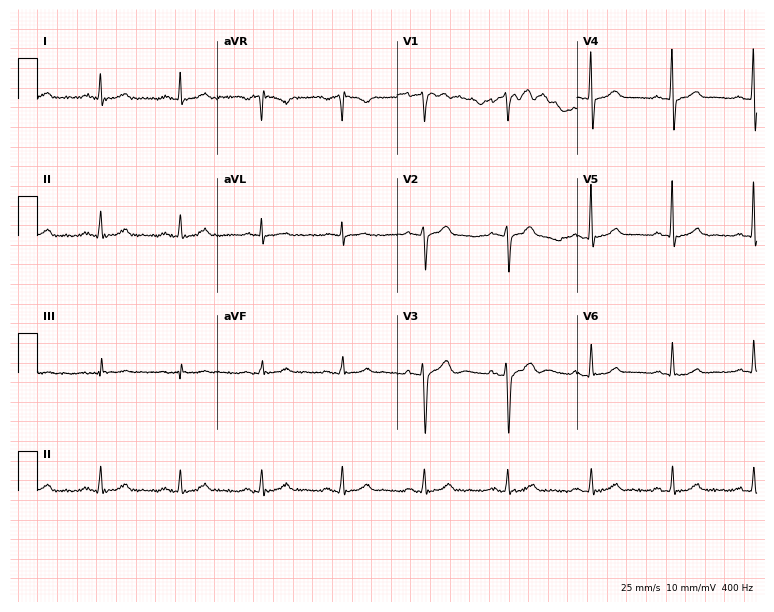
Standard 12-lead ECG recorded from a male patient, 45 years old. None of these six findings is recorded: first-degree AV block, right bundle branch block, left bundle branch block, sinus bradycardia, atrial fibrillation, sinus tachycardia.